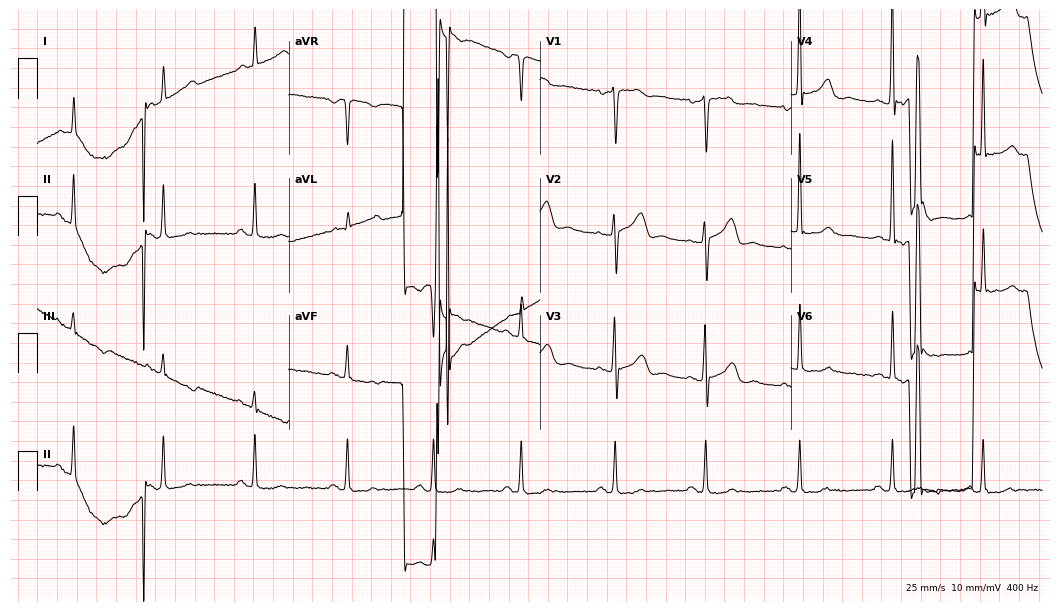
12-lead ECG from a female, 59 years old. No first-degree AV block, right bundle branch block, left bundle branch block, sinus bradycardia, atrial fibrillation or sinus tachycardia recorded for this tracing.